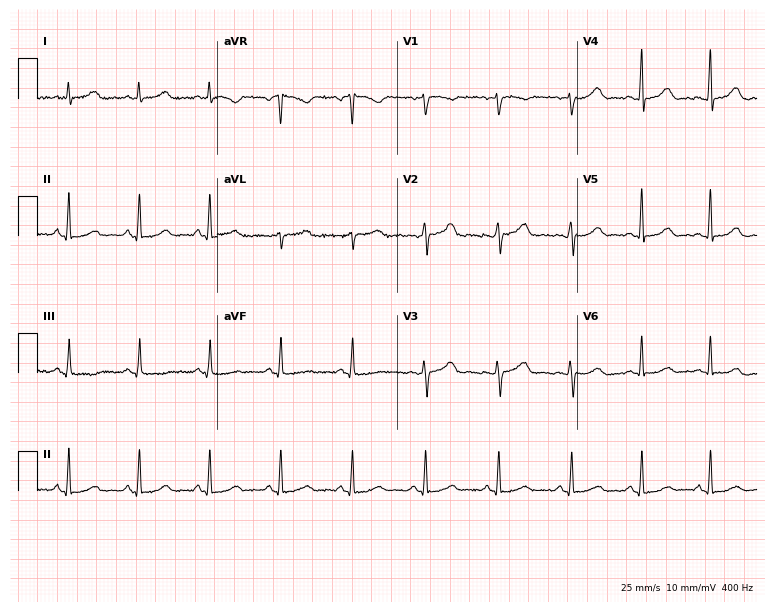
Electrocardiogram (7.3-second recording at 400 Hz), a female, 54 years old. Overall reading on record: normal ECG.